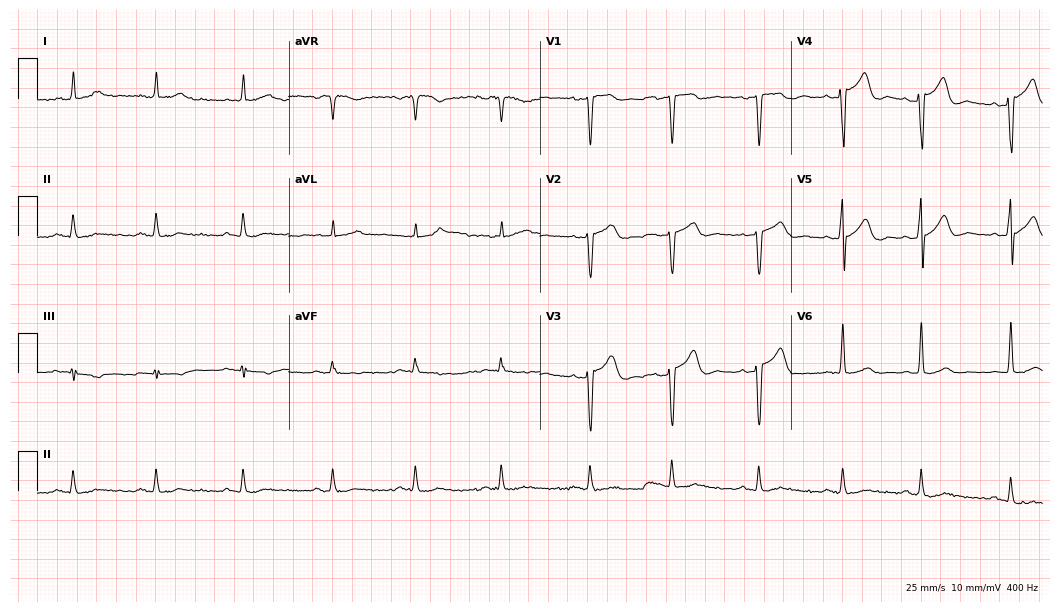
ECG — a man, 75 years old. Labelled as a normal ECG.